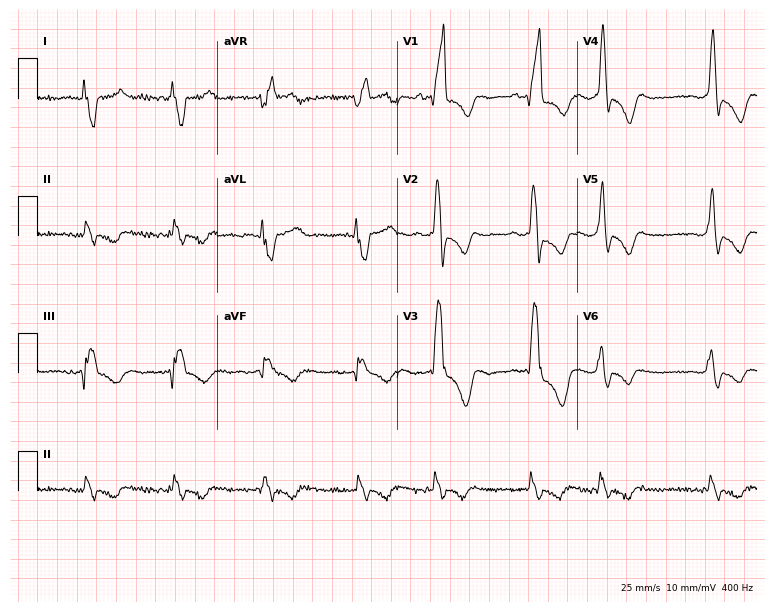
ECG — a woman, 85 years old. Screened for six findings — first-degree AV block, right bundle branch block, left bundle branch block, sinus bradycardia, atrial fibrillation, sinus tachycardia — none is recorded. Findings outside these six are not listed.